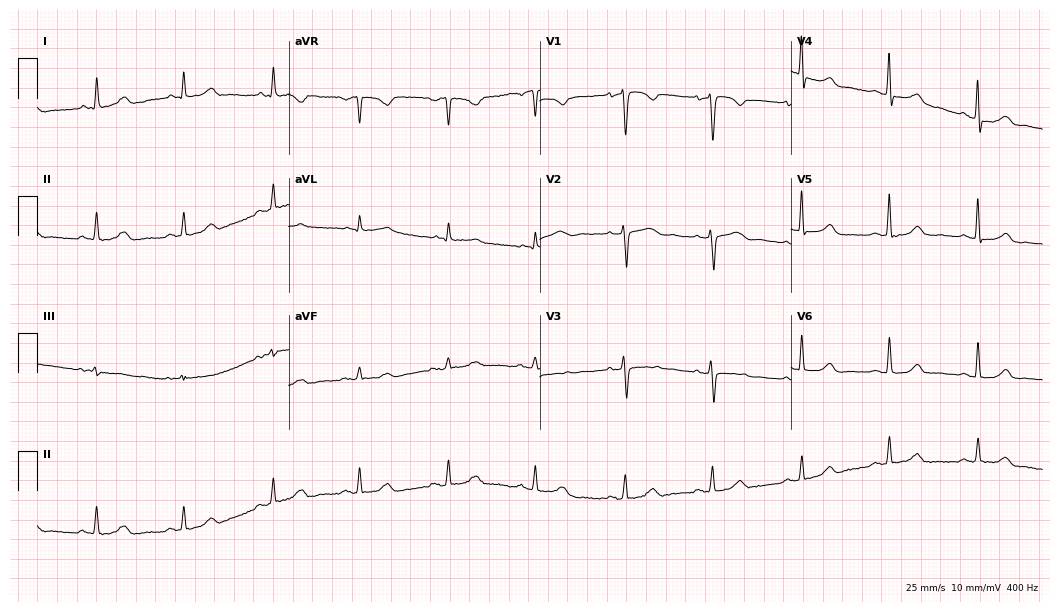
Standard 12-lead ECG recorded from a 55-year-old woman (10.2-second recording at 400 Hz). Read as a normal ECG.